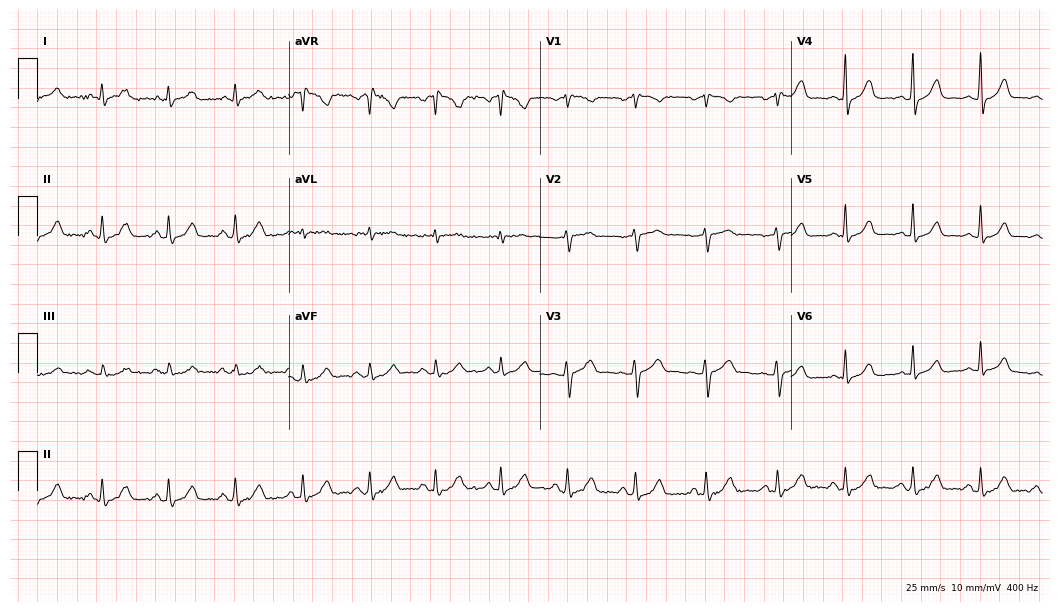
Standard 12-lead ECG recorded from a woman, 36 years old (10.2-second recording at 400 Hz). Read as a normal ECG.